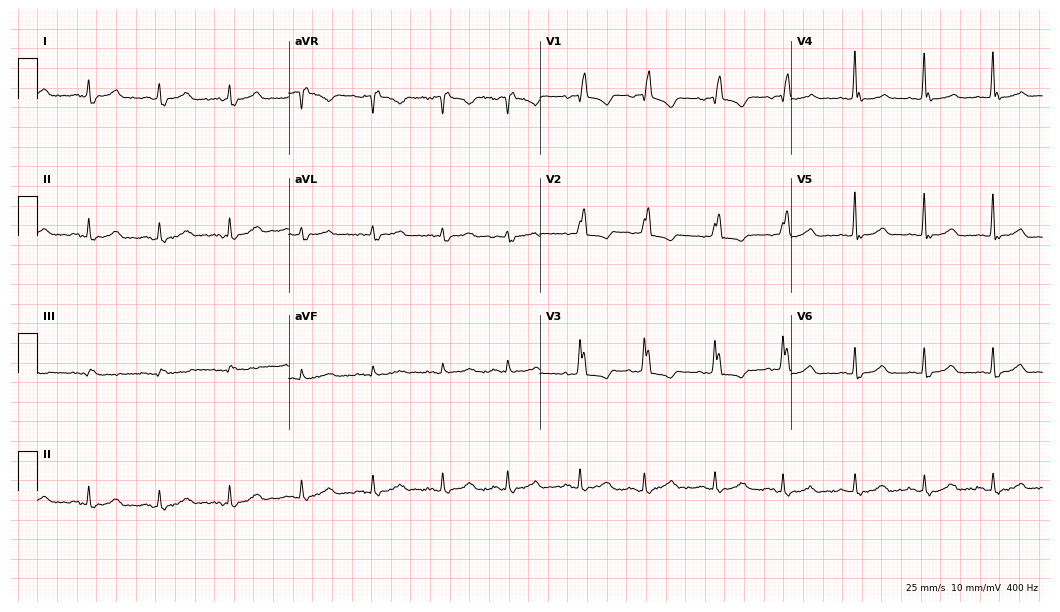
12-lead ECG from an 86-year-old female. No first-degree AV block, right bundle branch block, left bundle branch block, sinus bradycardia, atrial fibrillation or sinus tachycardia recorded for this tracing.